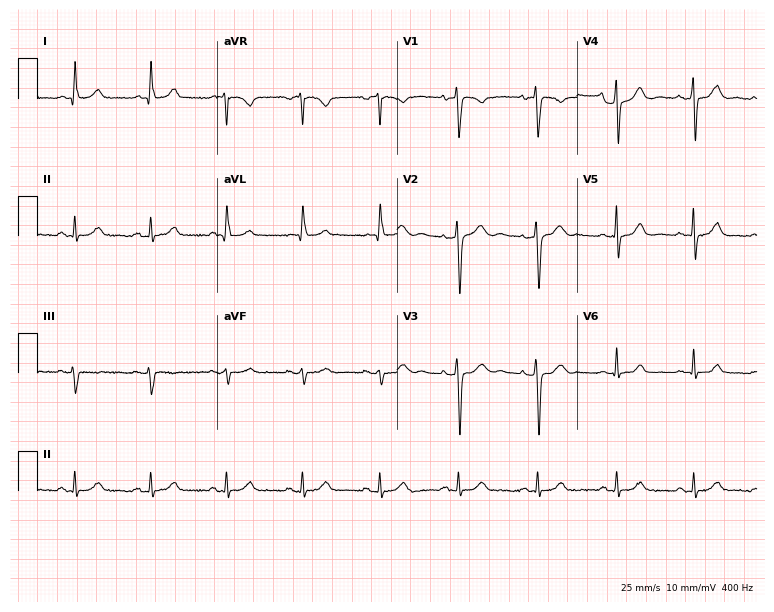
12-lead ECG from a female, 49 years old. Labelled as a normal ECG.